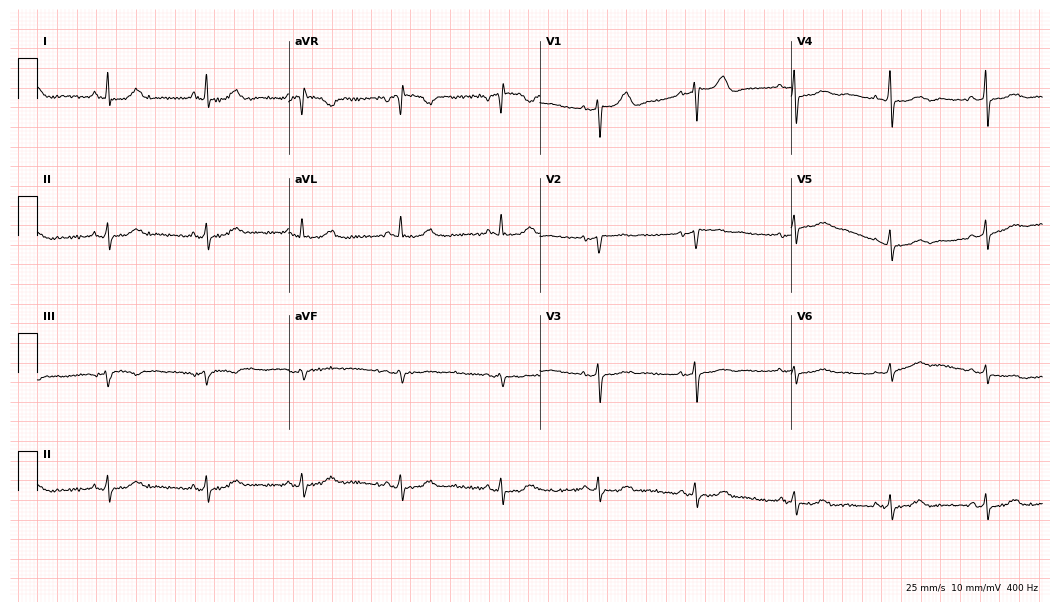
ECG (10.2-second recording at 400 Hz) — a 61-year-old female patient. Screened for six findings — first-degree AV block, right bundle branch block, left bundle branch block, sinus bradycardia, atrial fibrillation, sinus tachycardia — none is recorded.